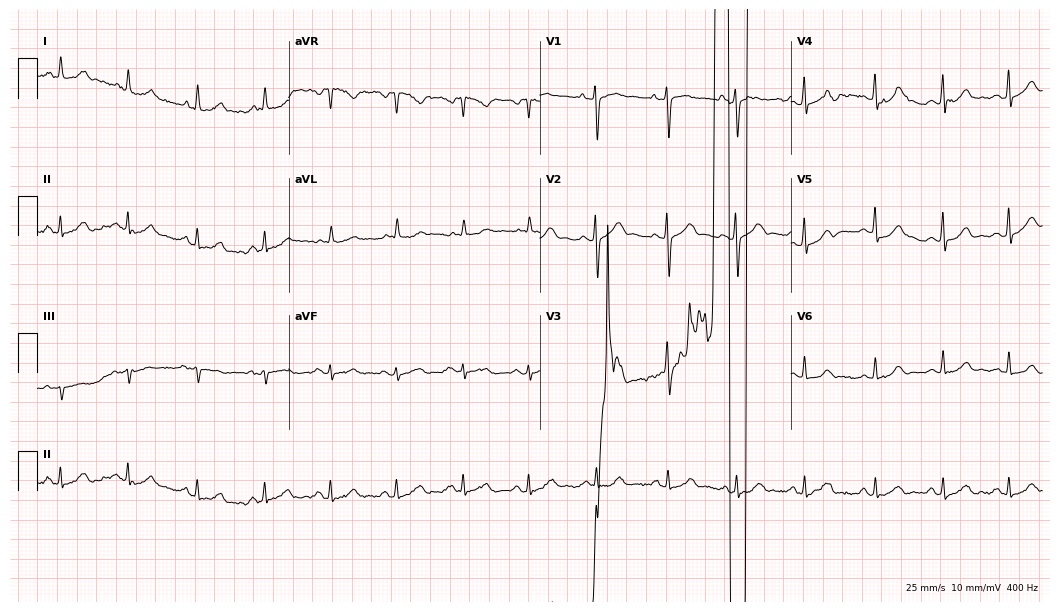
Standard 12-lead ECG recorded from a woman, 29 years old (10.2-second recording at 400 Hz). None of these six findings is recorded: first-degree AV block, right bundle branch block, left bundle branch block, sinus bradycardia, atrial fibrillation, sinus tachycardia. Findings outside these six are not listed.